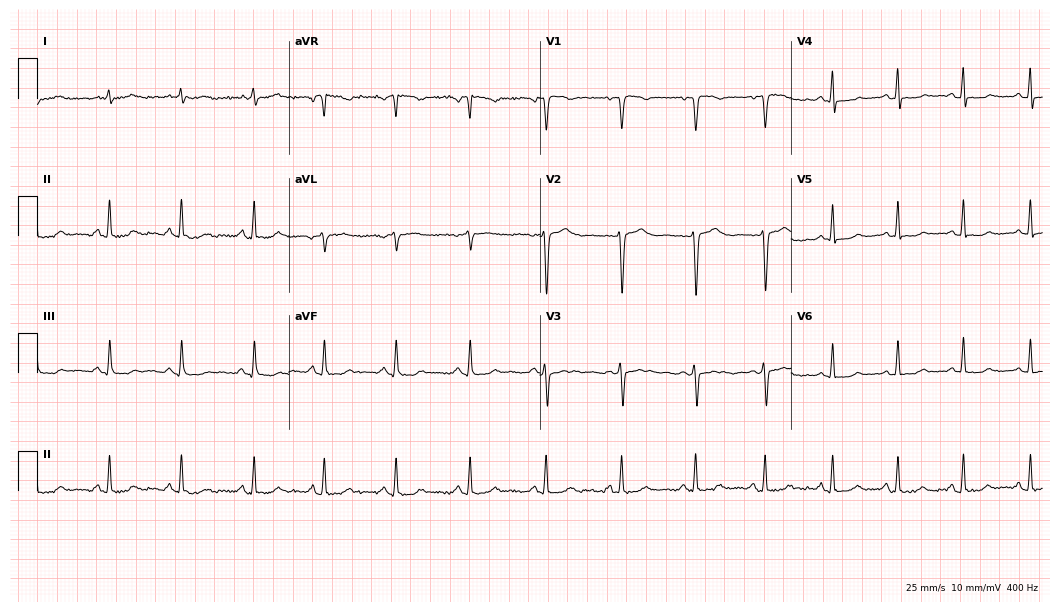
Resting 12-lead electrocardiogram. Patient: a 44-year-old female. None of these six findings is recorded: first-degree AV block, right bundle branch block, left bundle branch block, sinus bradycardia, atrial fibrillation, sinus tachycardia.